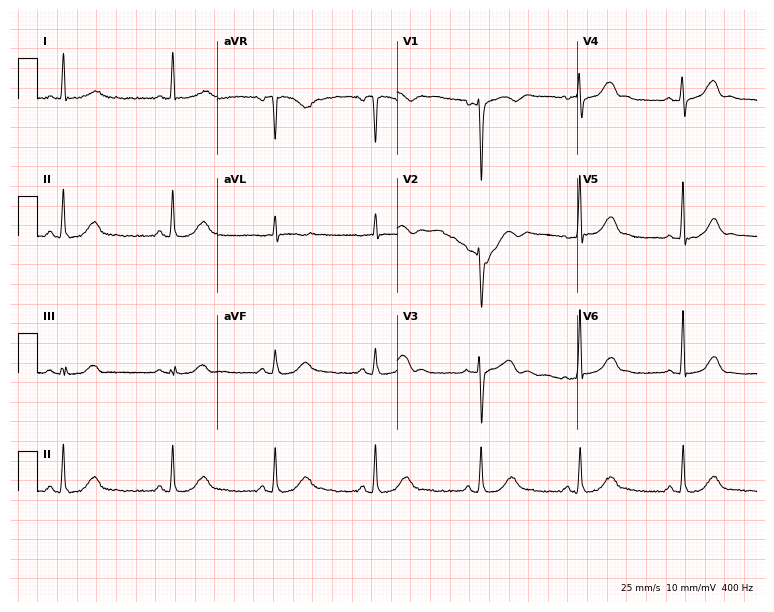
Electrocardiogram (7.3-second recording at 400 Hz), a female, 51 years old. Overall reading on record: normal ECG.